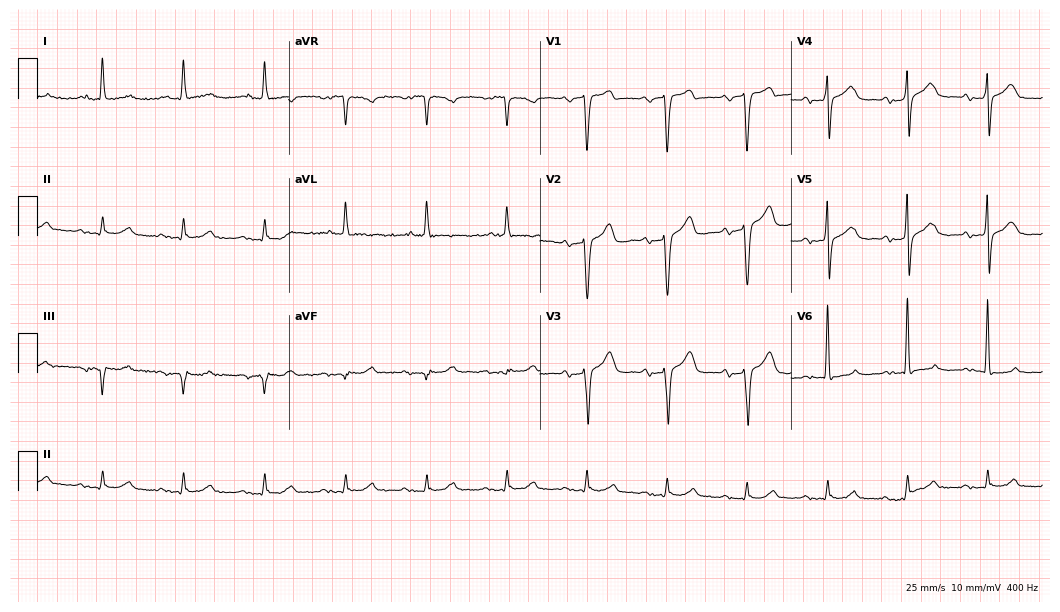
Standard 12-lead ECG recorded from a 77-year-old male patient (10.2-second recording at 400 Hz). None of these six findings is recorded: first-degree AV block, right bundle branch block (RBBB), left bundle branch block (LBBB), sinus bradycardia, atrial fibrillation (AF), sinus tachycardia. Findings outside these six are not listed.